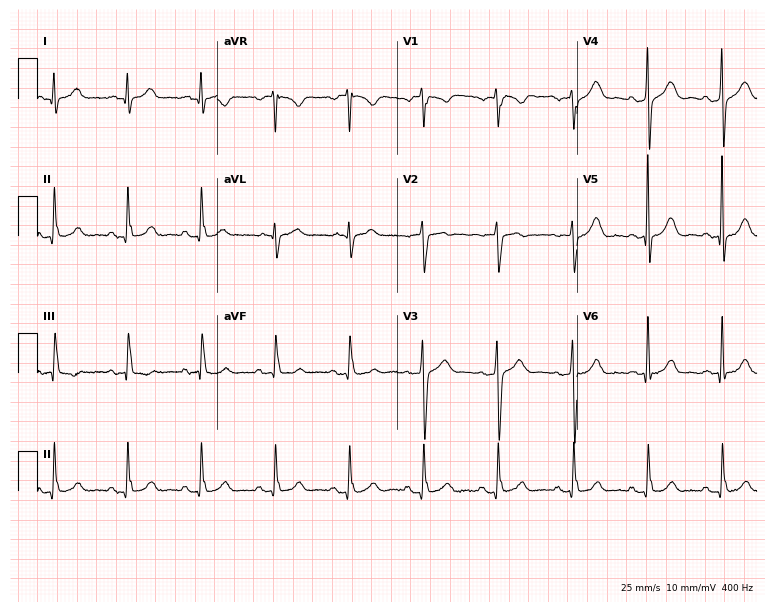
Standard 12-lead ECG recorded from a male, 68 years old. Read as a normal ECG.